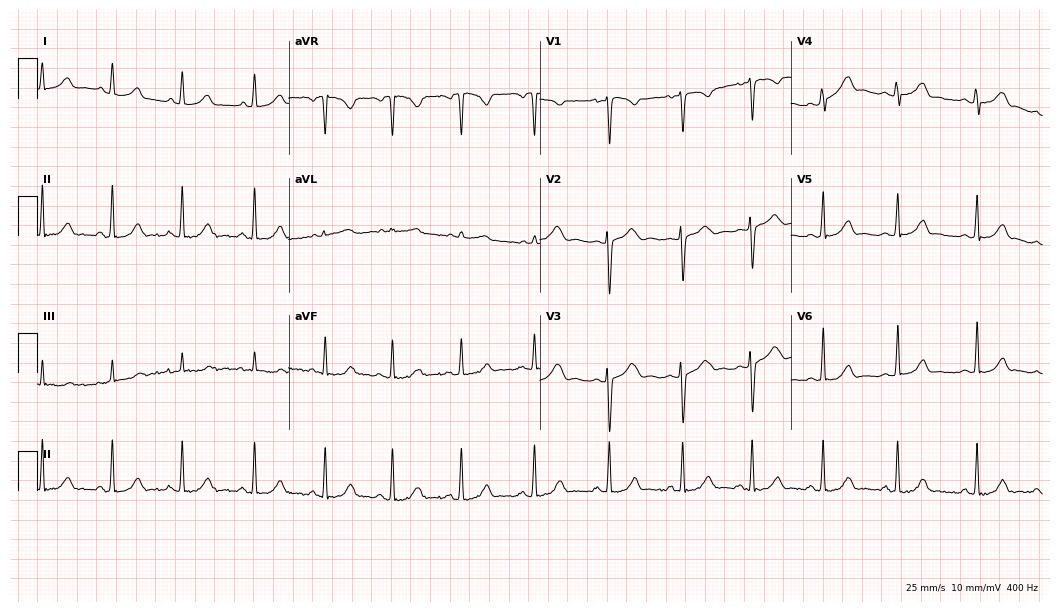
12-lead ECG from a female patient, 22 years old (10.2-second recording at 400 Hz). No first-degree AV block, right bundle branch block, left bundle branch block, sinus bradycardia, atrial fibrillation or sinus tachycardia recorded for this tracing. Only these six findings were labelled.